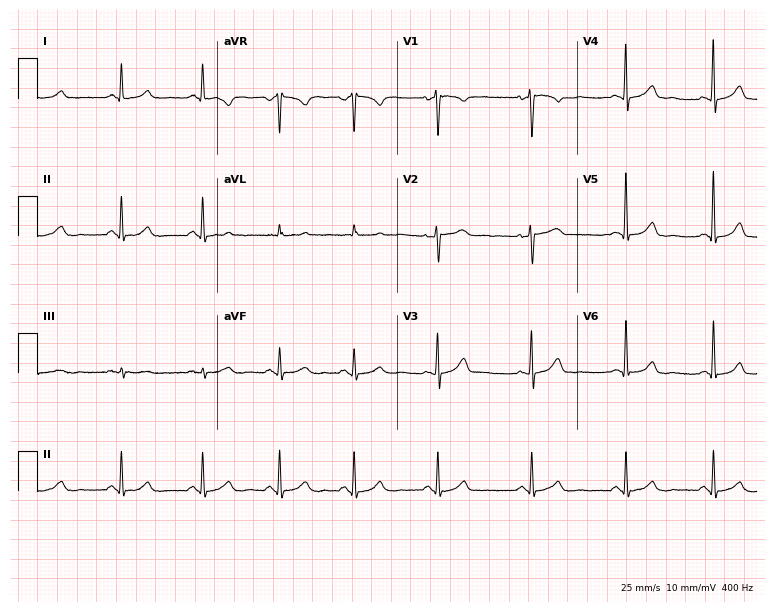
12-lead ECG from a 51-year-old female patient. Recorded interpretation: within normal limits.